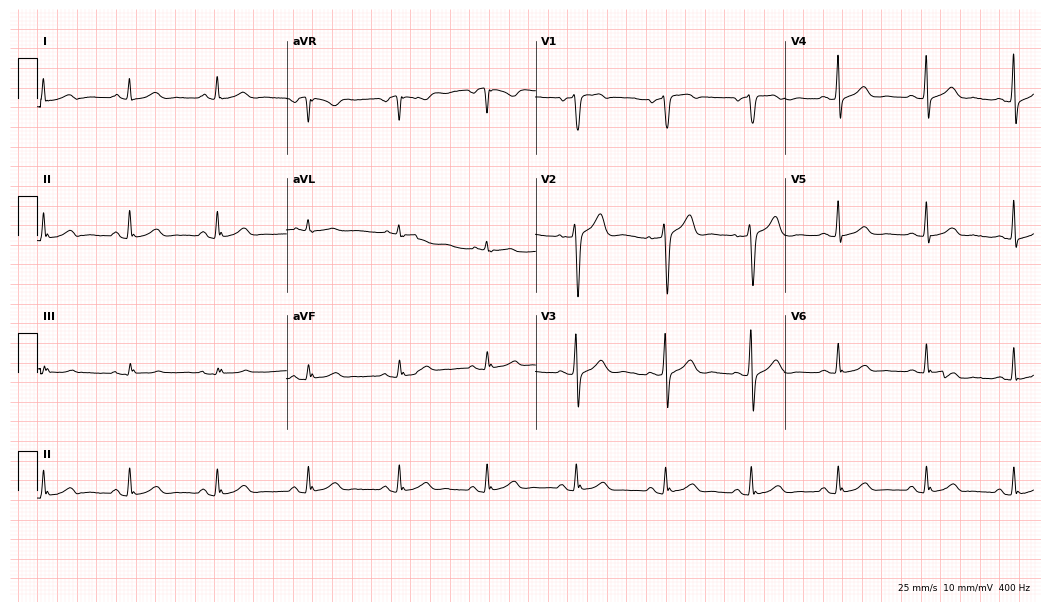
12-lead ECG (10.2-second recording at 400 Hz) from a woman, 42 years old. Labelled as a normal ECG.